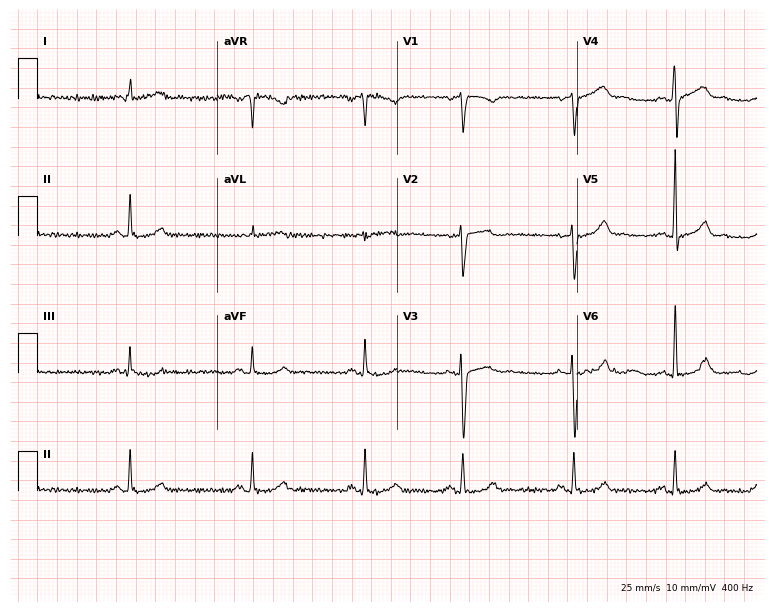
12-lead ECG (7.3-second recording at 400 Hz) from a female, 49 years old. Screened for six findings — first-degree AV block, right bundle branch block, left bundle branch block, sinus bradycardia, atrial fibrillation, sinus tachycardia — none is recorded. Other findings, if any, are not listed.